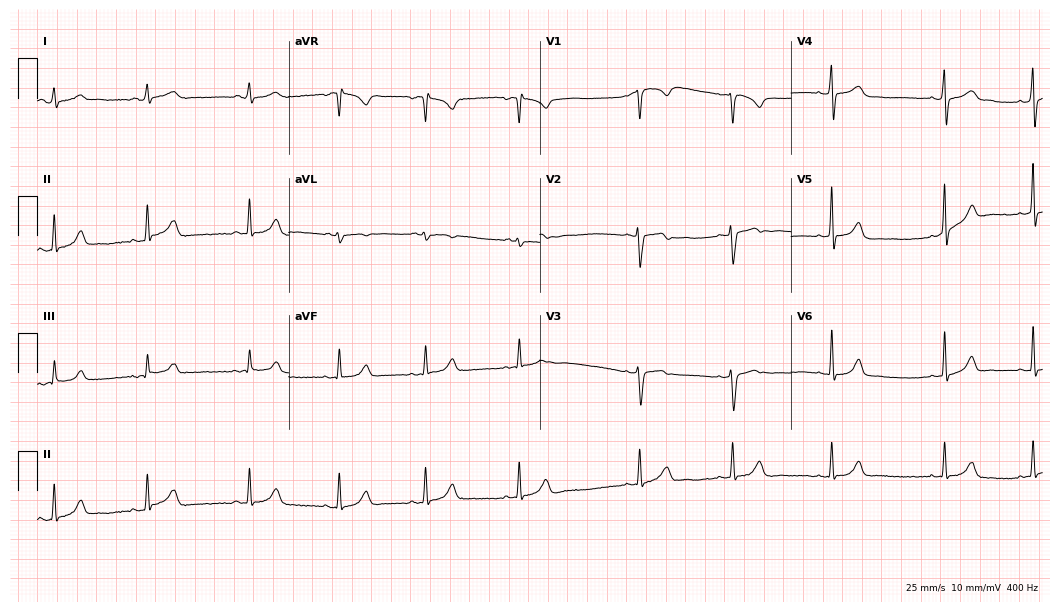
Electrocardiogram (10.2-second recording at 400 Hz), a female, 19 years old. Overall reading on record: normal ECG.